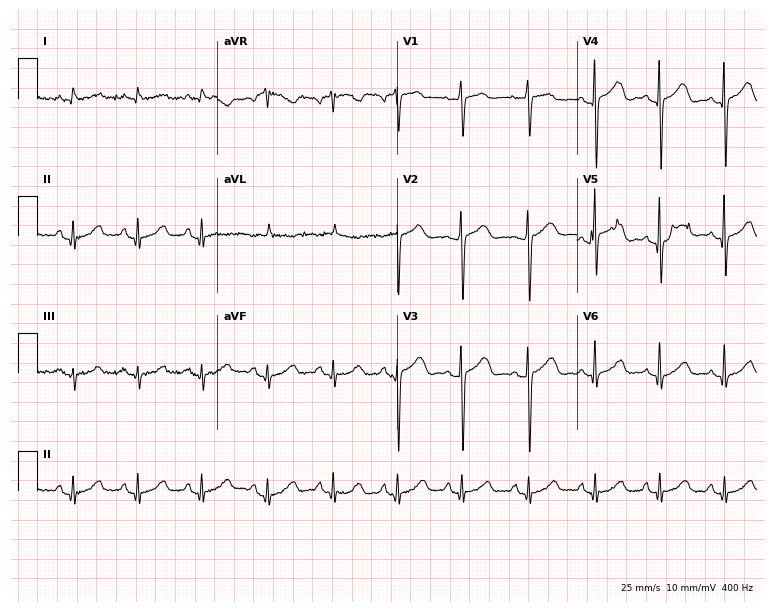
ECG — an 81-year-old female patient. Labelled as a normal ECG.